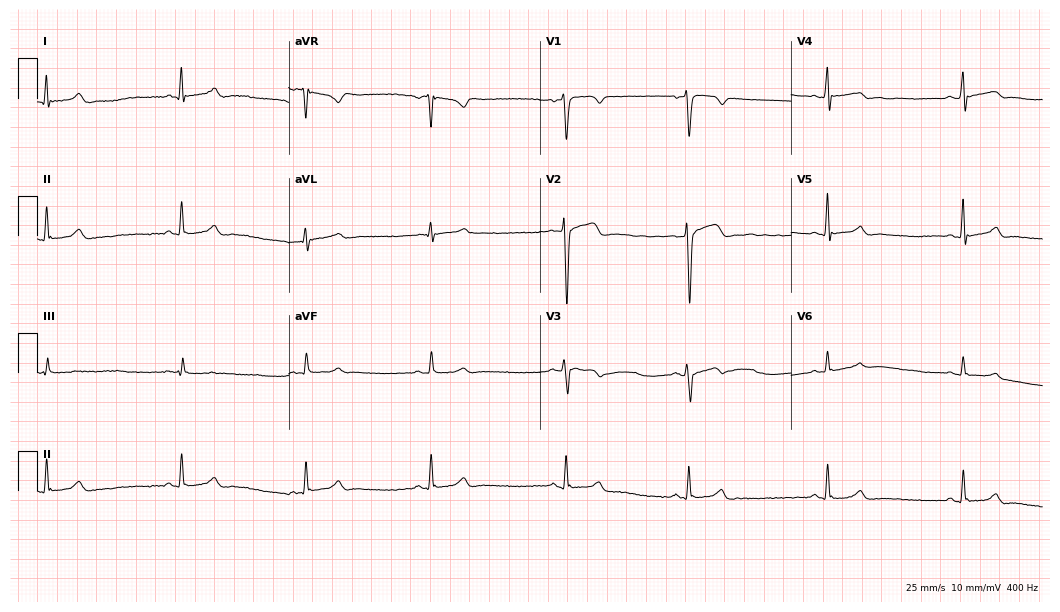
12-lead ECG from a male patient, 34 years old (10.2-second recording at 400 Hz). No first-degree AV block, right bundle branch block, left bundle branch block, sinus bradycardia, atrial fibrillation or sinus tachycardia recorded for this tracing.